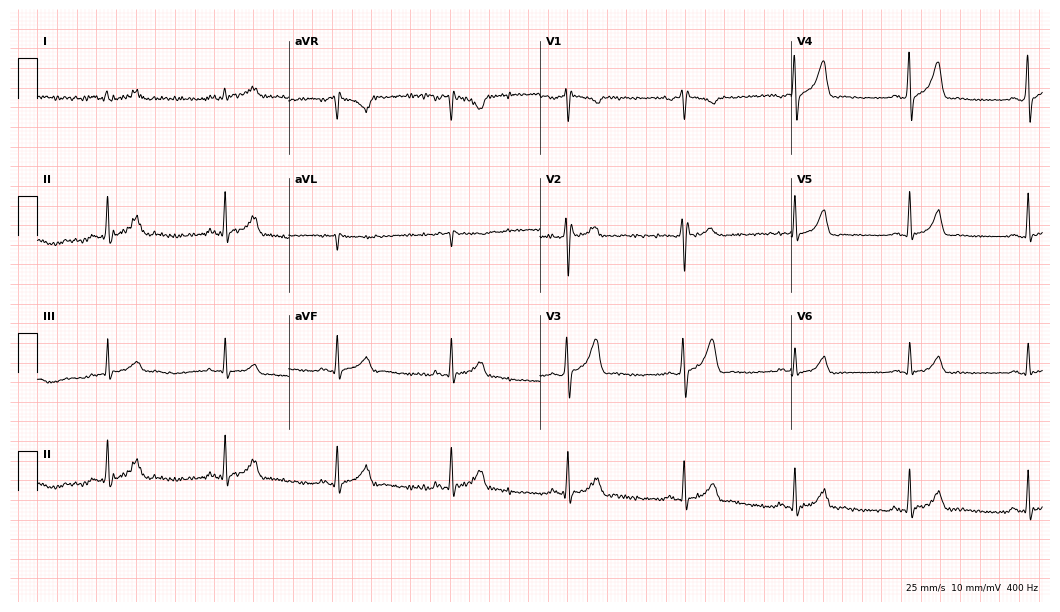
12-lead ECG from a man, 36 years old. Labelled as a normal ECG.